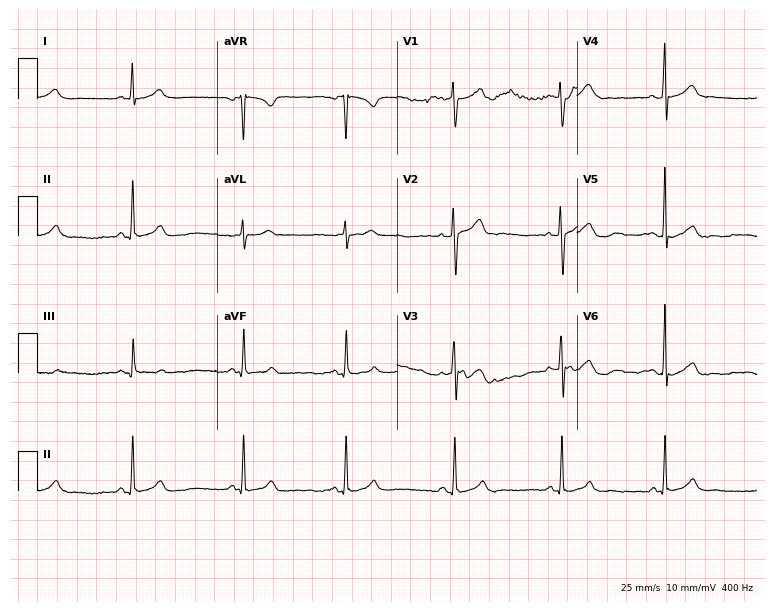
ECG — a 28-year-old man. Labelled as a normal ECG.